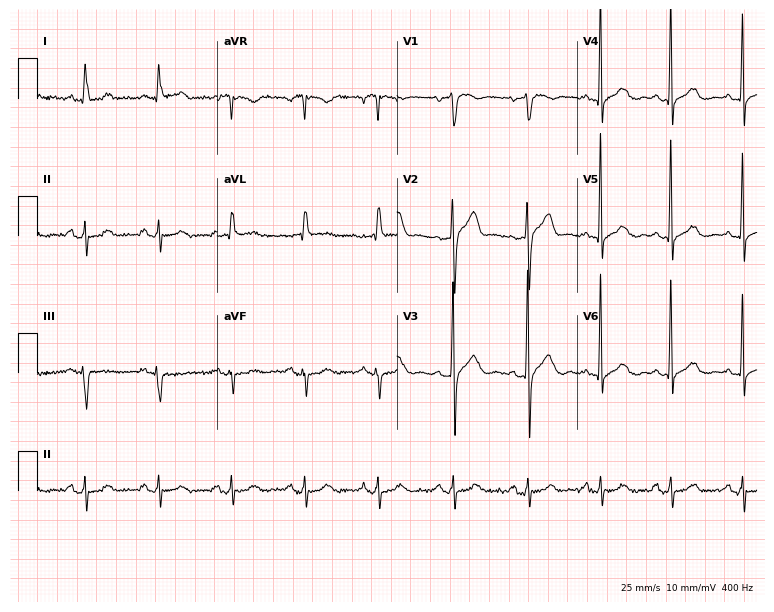
Electrocardiogram (7.3-second recording at 400 Hz), a man, 79 years old. Of the six screened findings (first-degree AV block, right bundle branch block, left bundle branch block, sinus bradycardia, atrial fibrillation, sinus tachycardia), none is recorded.